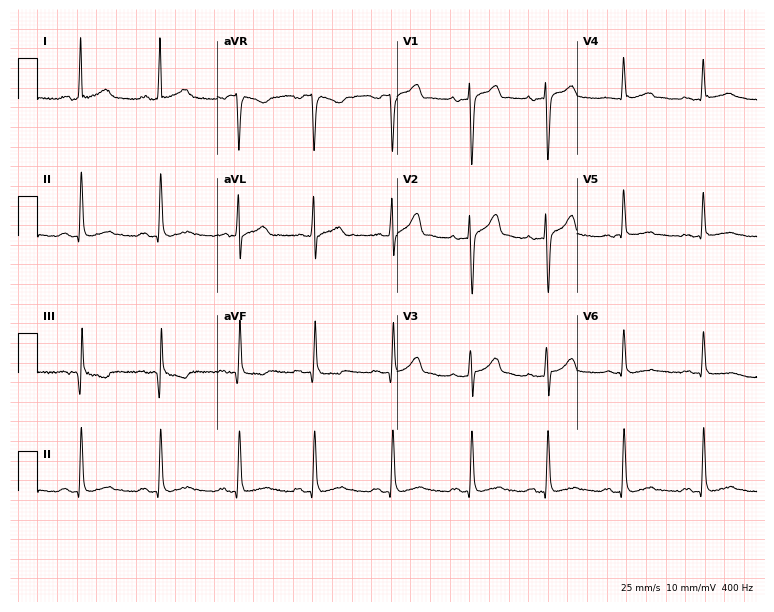
12-lead ECG from a male, 35 years old. No first-degree AV block, right bundle branch block, left bundle branch block, sinus bradycardia, atrial fibrillation or sinus tachycardia recorded for this tracing. Findings outside these six are not listed.